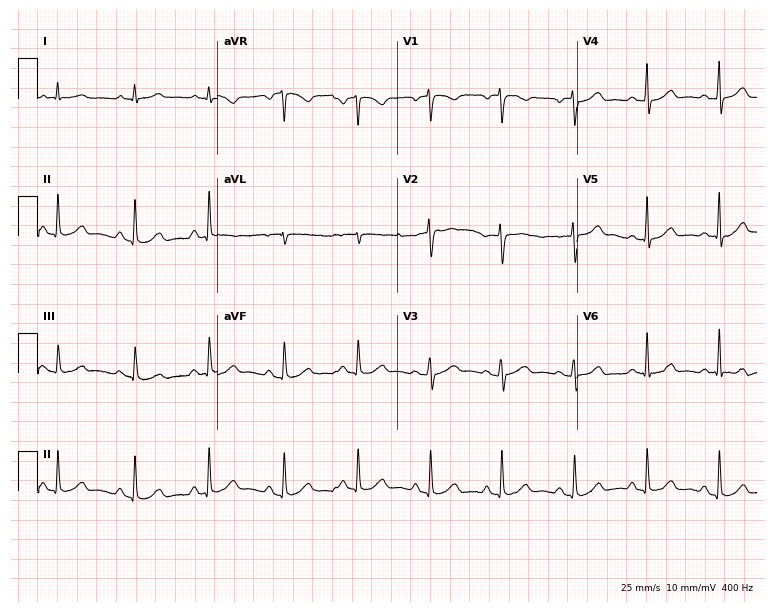
Standard 12-lead ECG recorded from a 50-year-old female patient. Read as a normal ECG.